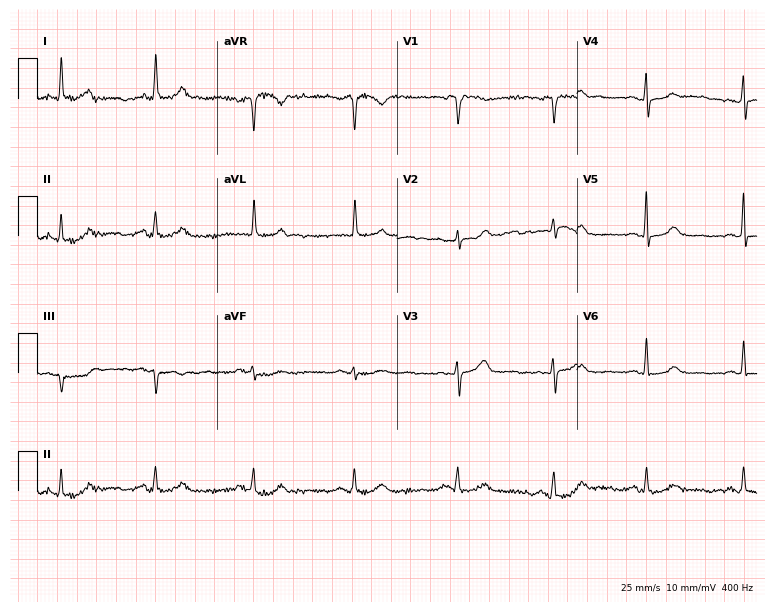
12-lead ECG from a female patient, 58 years old. Screened for six findings — first-degree AV block, right bundle branch block, left bundle branch block, sinus bradycardia, atrial fibrillation, sinus tachycardia — none is recorded. Findings outside these six are not listed.